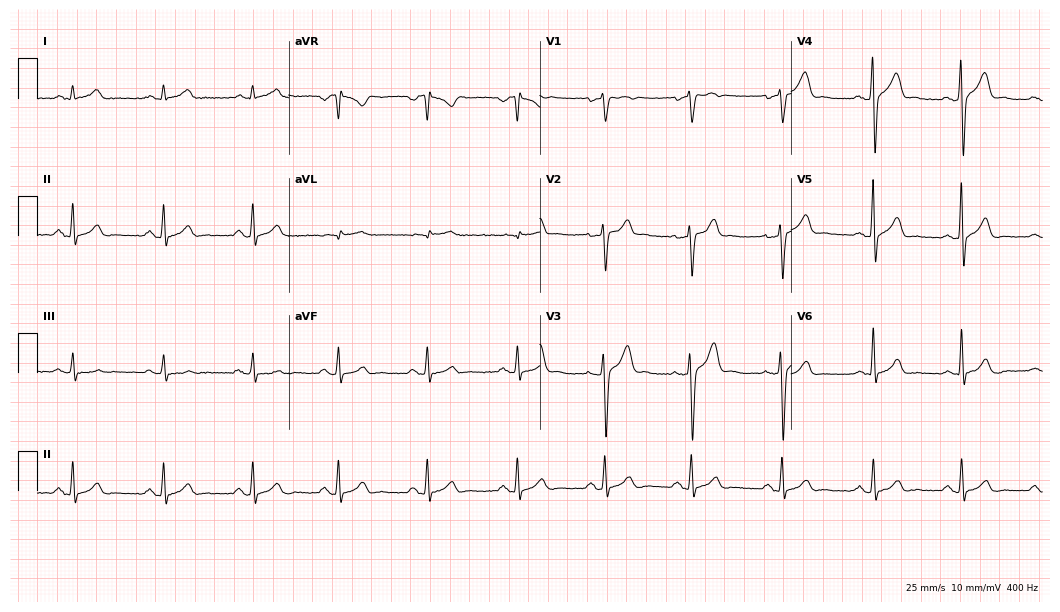
Resting 12-lead electrocardiogram (10.2-second recording at 400 Hz). Patient: a 37-year-old male. Read as a normal ECG.